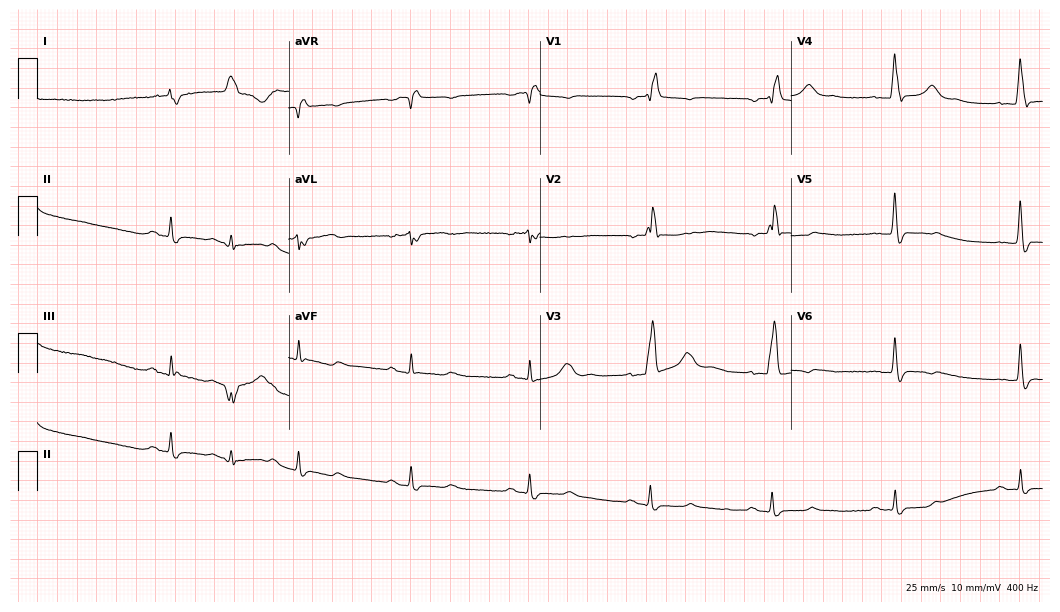
Electrocardiogram (10.2-second recording at 400 Hz), a man, 61 years old. Interpretation includes first-degree AV block, right bundle branch block, sinus bradycardia (a sinus rate of 50 beats per minute or less).